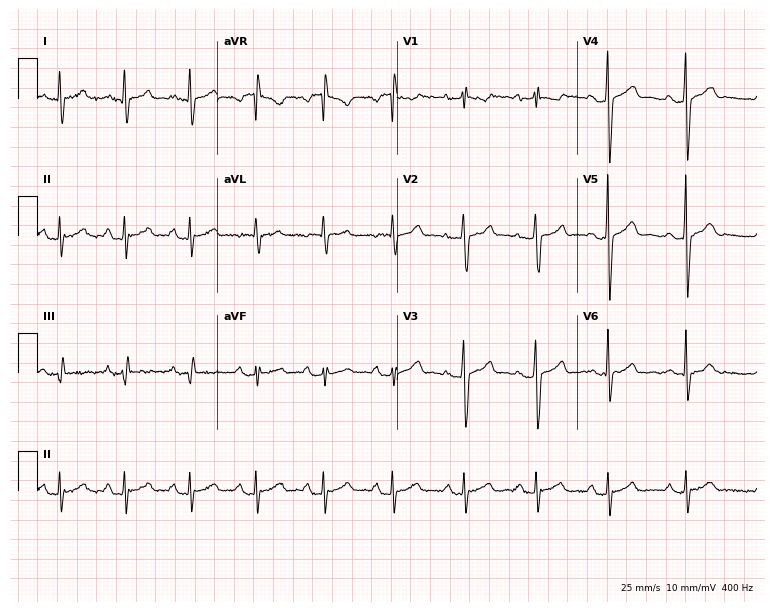
Standard 12-lead ECG recorded from a 38-year-old female (7.3-second recording at 400 Hz). None of these six findings is recorded: first-degree AV block, right bundle branch block, left bundle branch block, sinus bradycardia, atrial fibrillation, sinus tachycardia.